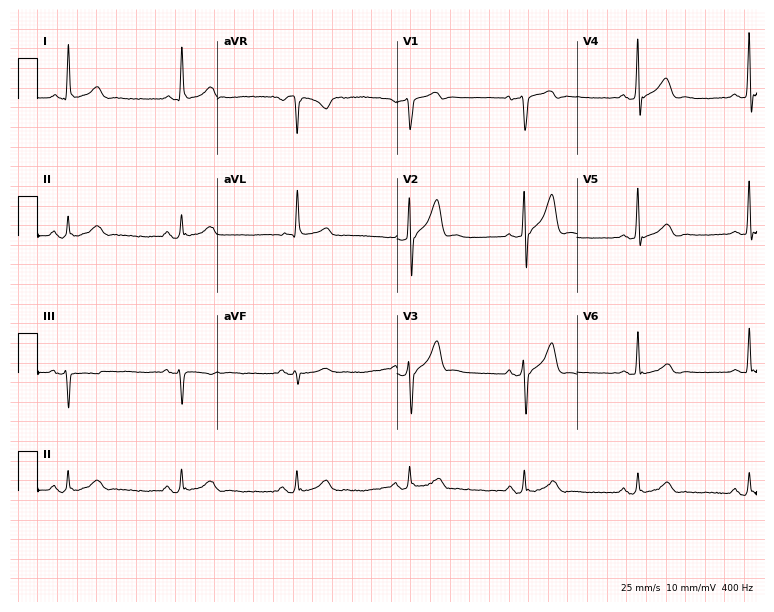
Electrocardiogram (7.3-second recording at 400 Hz), a 79-year-old male patient. Of the six screened findings (first-degree AV block, right bundle branch block, left bundle branch block, sinus bradycardia, atrial fibrillation, sinus tachycardia), none is recorded. Only these six findings were labelled.